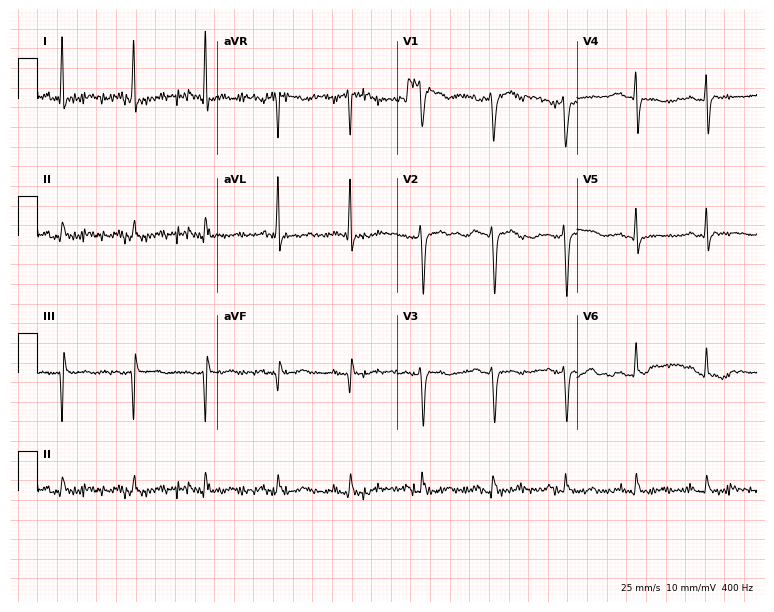
Resting 12-lead electrocardiogram (7.3-second recording at 400 Hz). Patient: a female, 54 years old. None of these six findings is recorded: first-degree AV block, right bundle branch block (RBBB), left bundle branch block (LBBB), sinus bradycardia, atrial fibrillation (AF), sinus tachycardia. Findings outside these six are not listed.